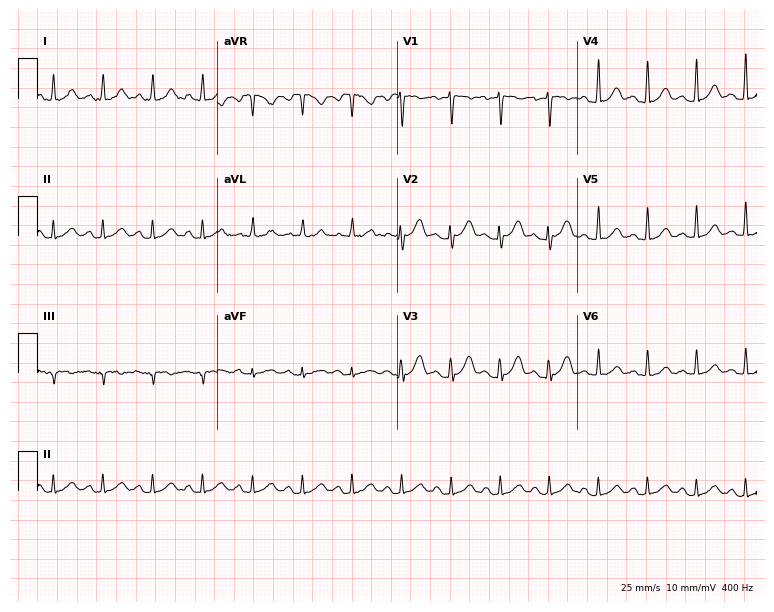
Standard 12-lead ECG recorded from a 34-year-old female patient (7.3-second recording at 400 Hz). The tracing shows sinus tachycardia (a sinus rate of 100 beats per minute or more).